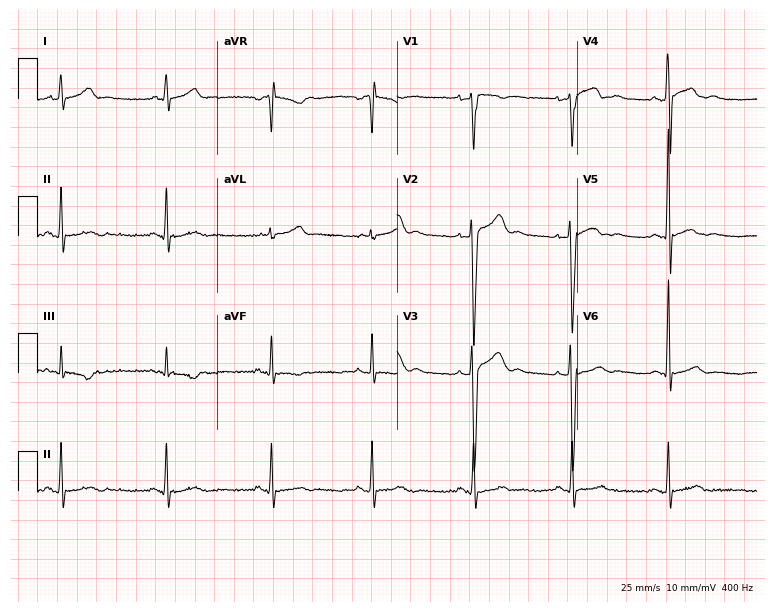
Resting 12-lead electrocardiogram. Patient: a 30-year-old male. None of these six findings is recorded: first-degree AV block, right bundle branch block (RBBB), left bundle branch block (LBBB), sinus bradycardia, atrial fibrillation (AF), sinus tachycardia. Findings outside these six are not listed.